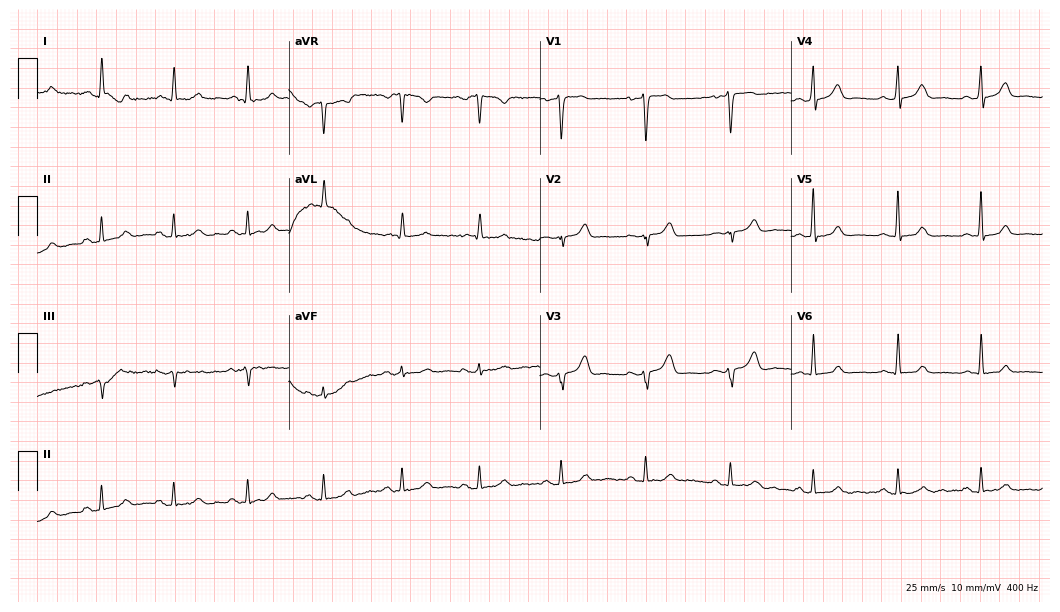
Electrocardiogram, a female patient, 40 years old. Of the six screened findings (first-degree AV block, right bundle branch block, left bundle branch block, sinus bradycardia, atrial fibrillation, sinus tachycardia), none is recorded. Only these six findings were labelled.